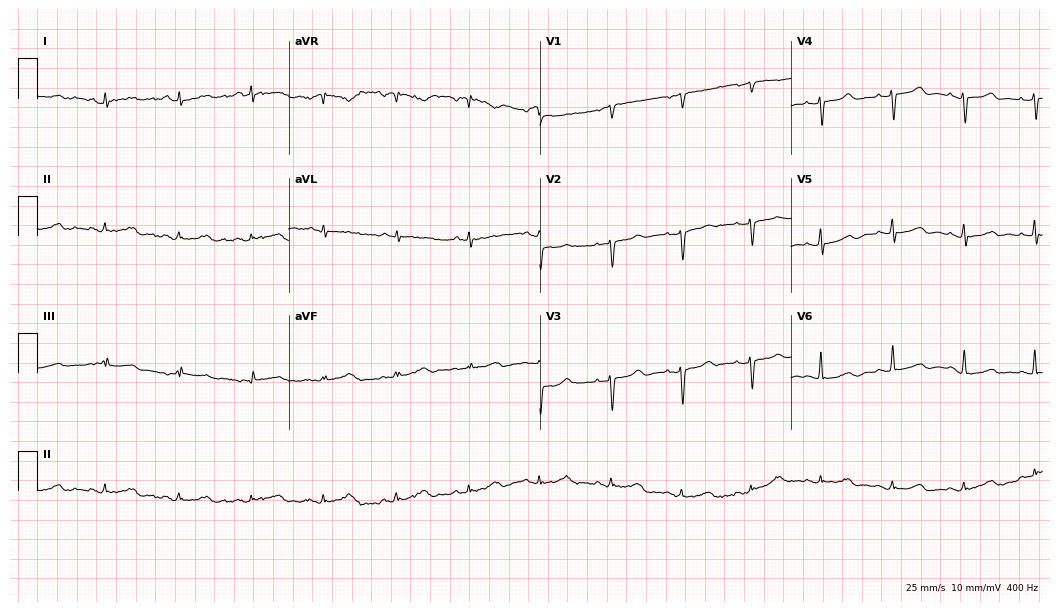
12-lead ECG from a female, 50 years old (10.2-second recording at 400 Hz). No first-degree AV block, right bundle branch block, left bundle branch block, sinus bradycardia, atrial fibrillation or sinus tachycardia recorded for this tracing.